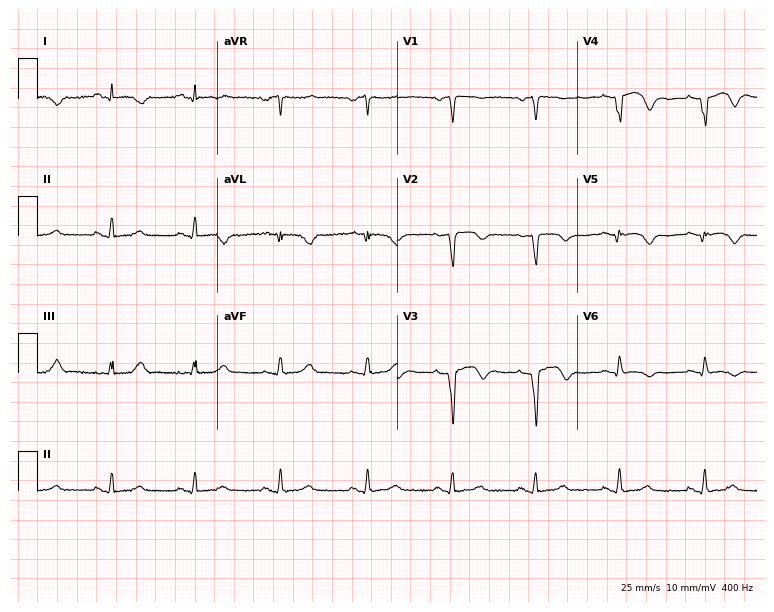
ECG (7.3-second recording at 400 Hz) — a female, 60 years old. Screened for six findings — first-degree AV block, right bundle branch block, left bundle branch block, sinus bradycardia, atrial fibrillation, sinus tachycardia — none is recorded. Only these six findings were labelled.